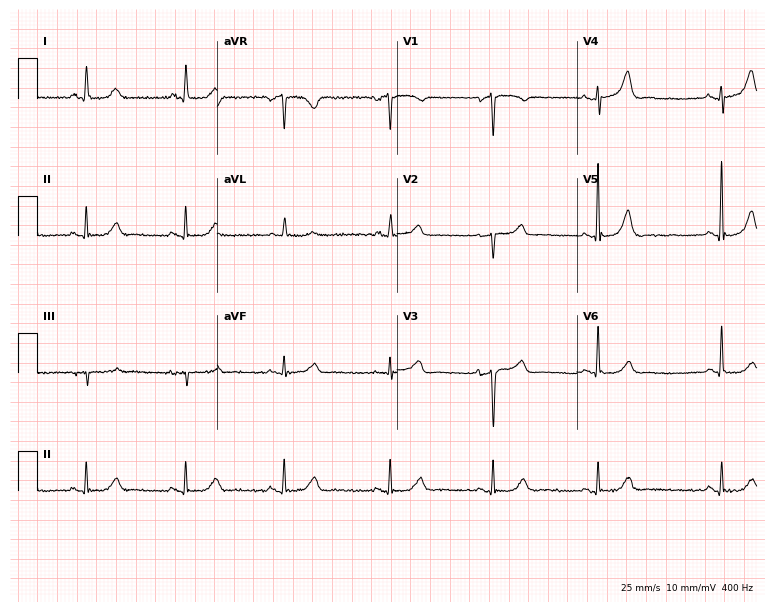
12-lead ECG from a female patient, 85 years old (7.3-second recording at 400 Hz). Recorded interpretation: within normal limits.